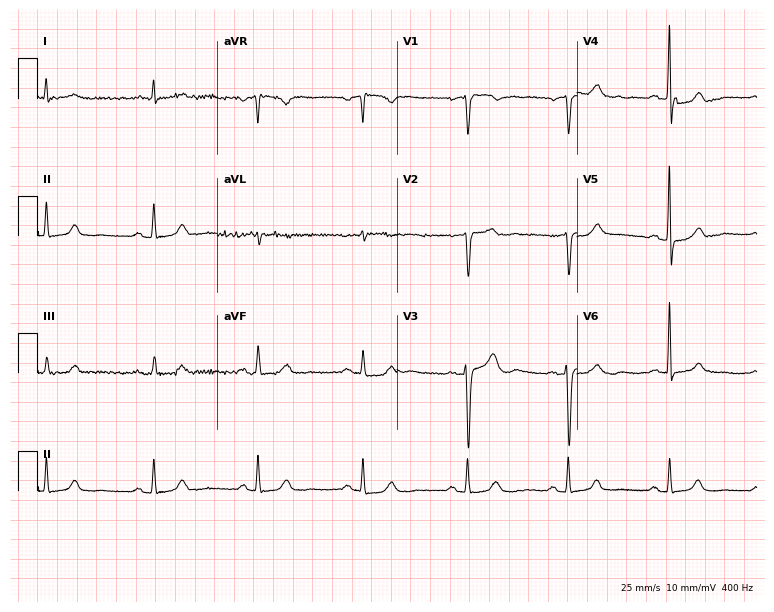
12-lead ECG from a male, 84 years old. Recorded interpretation: within normal limits.